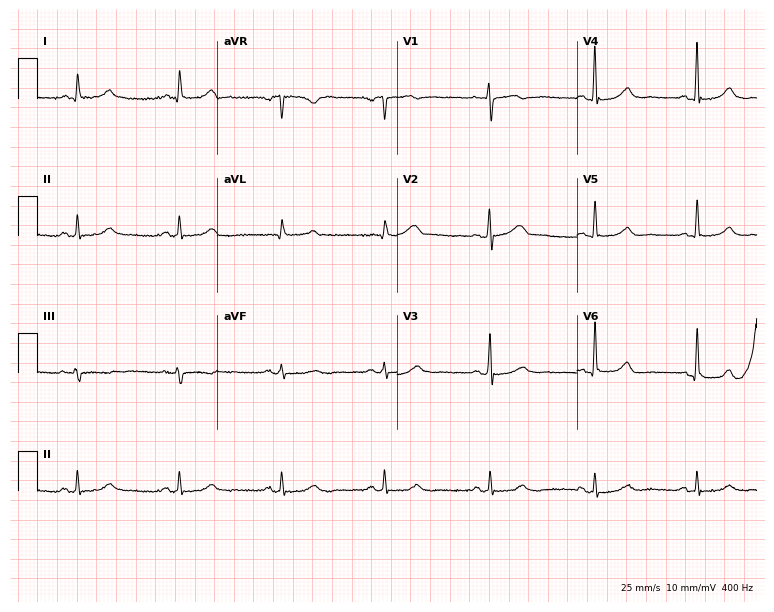
Standard 12-lead ECG recorded from a 61-year-old woman. Read as a normal ECG.